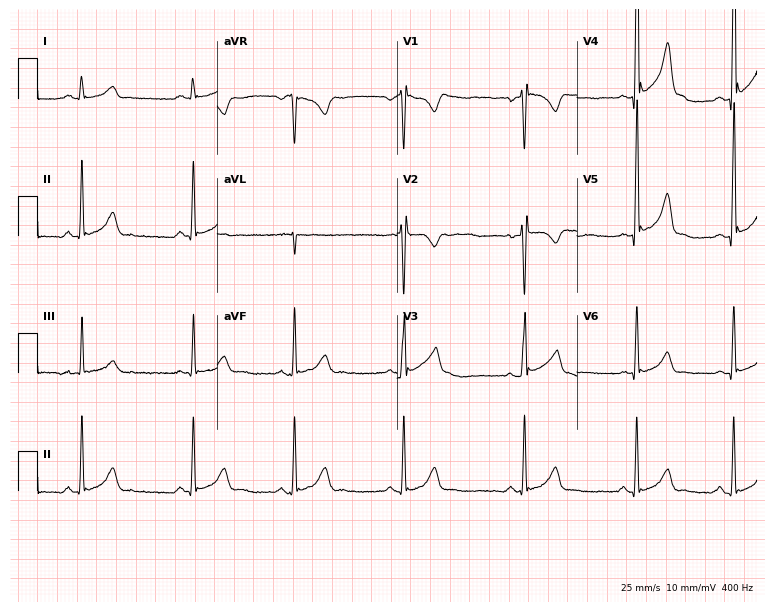
Standard 12-lead ECG recorded from a 17-year-old male. None of these six findings is recorded: first-degree AV block, right bundle branch block (RBBB), left bundle branch block (LBBB), sinus bradycardia, atrial fibrillation (AF), sinus tachycardia. Other findings, if any, are not listed.